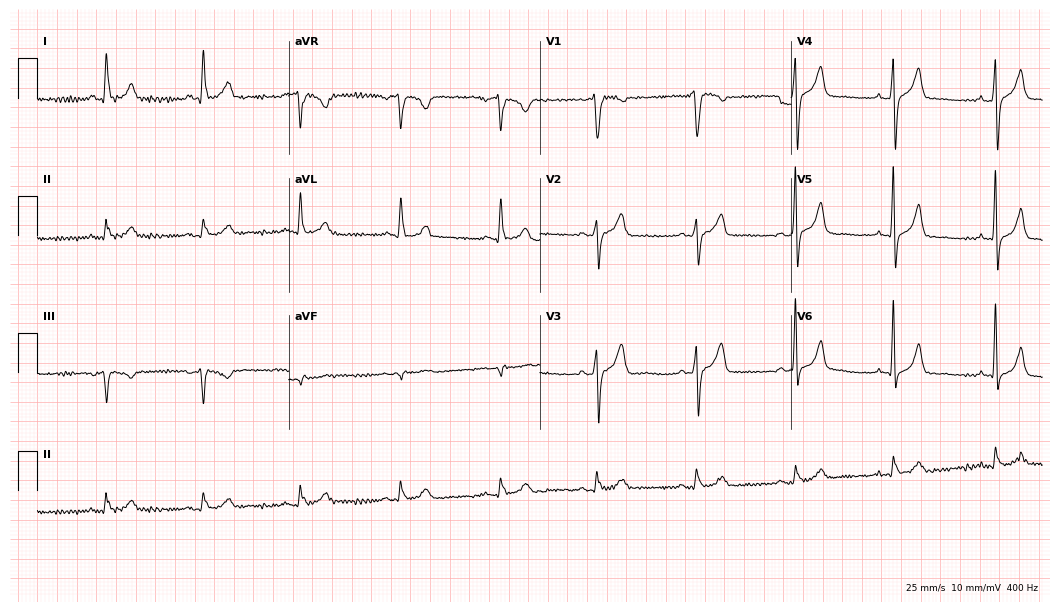
ECG (10.2-second recording at 400 Hz) — a 69-year-old male. Screened for six findings — first-degree AV block, right bundle branch block, left bundle branch block, sinus bradycardia, atrial fibrillation, sinus tachycardia — none is recorded. Findings outside these six are not listed.